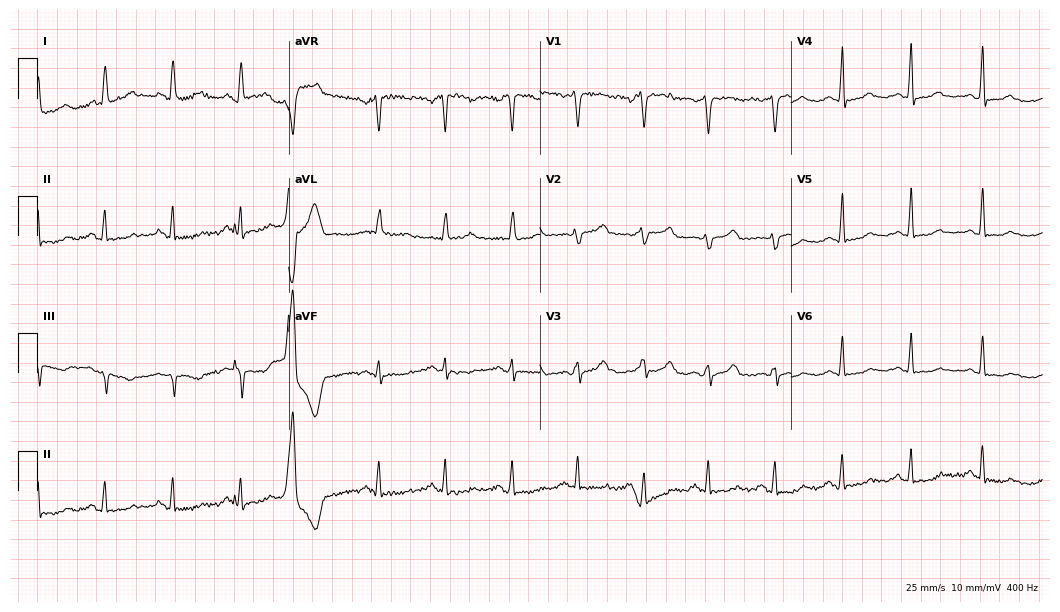
Resting 12-lead electrocardiogram. Patient: a 58-year-old woman. None of these six findings is recorded: first-degree AV block, right bundle branch block, left bundle branch block, sinus bradycardia, atrial fibrillation, sinus tachycardia. Other findings, if any, are not listed.